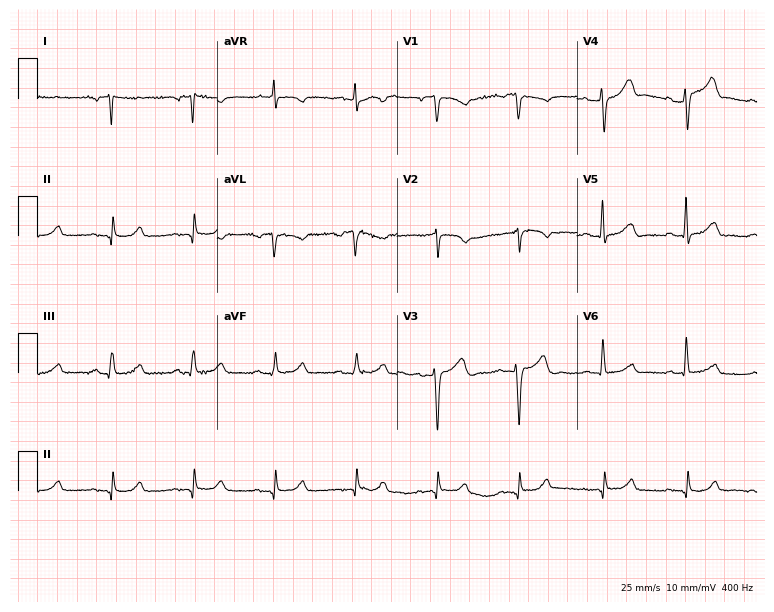
Standard 12-lead ECG recorded from a male, 73 years old. None of these six findings is recorded: first-degree AV block, right bundle branch block, left bundle branch block, sinus bradycardia, atrial fibrillation, sinus tachycardia. Findings outside these six are not listed.